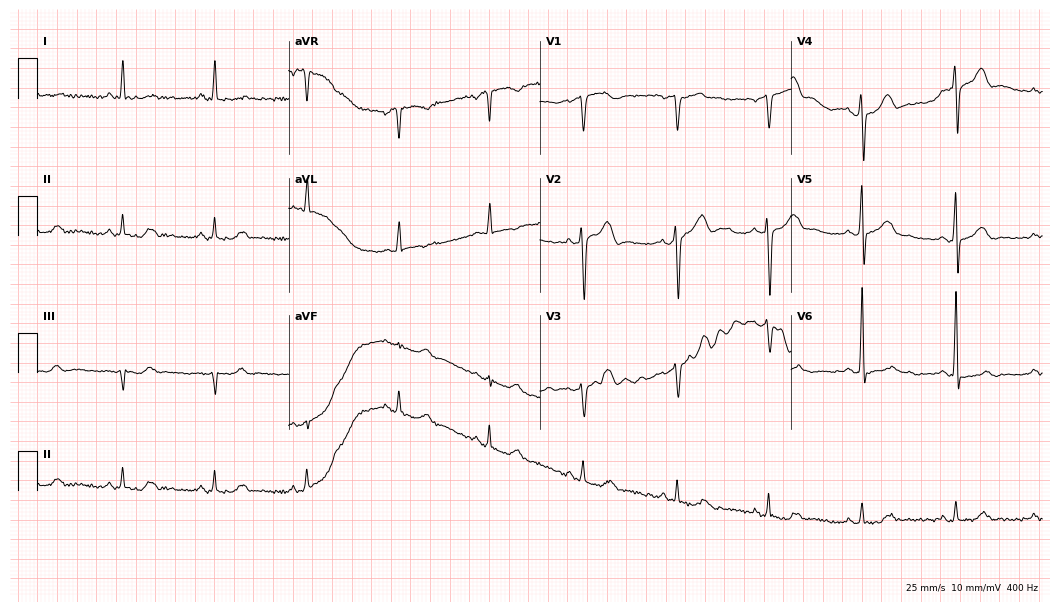
Electrocardiogram, a male, 67 years old. Of the six screened findings (first-degree AV block, right bundle branch block (RBBB), left bundle branch block (LBBB), sinus bradycardia, atrial fibrillation (AF), sinus tachycardia), none is recorded.